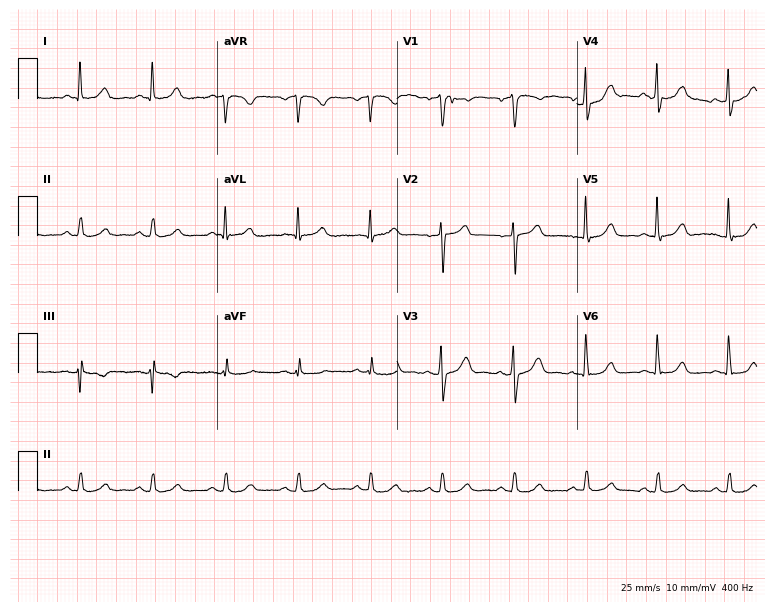
ECG — a 54-year-old man. Labelled as a normal ECG.